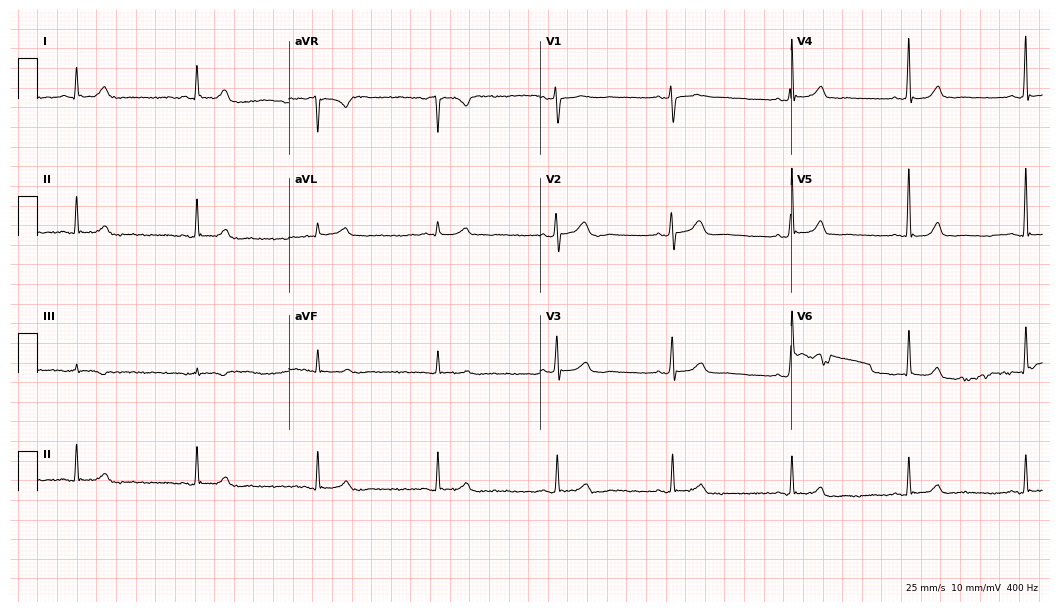
Resting 12-lead electrocardiogram. Patient: a female, 65 years old. None of these six findings is recorded: first-degree AV block, right bundle branch block, left bundle branch block, sinus bradycardia, atrial fibrillation, sinus tachycardia.